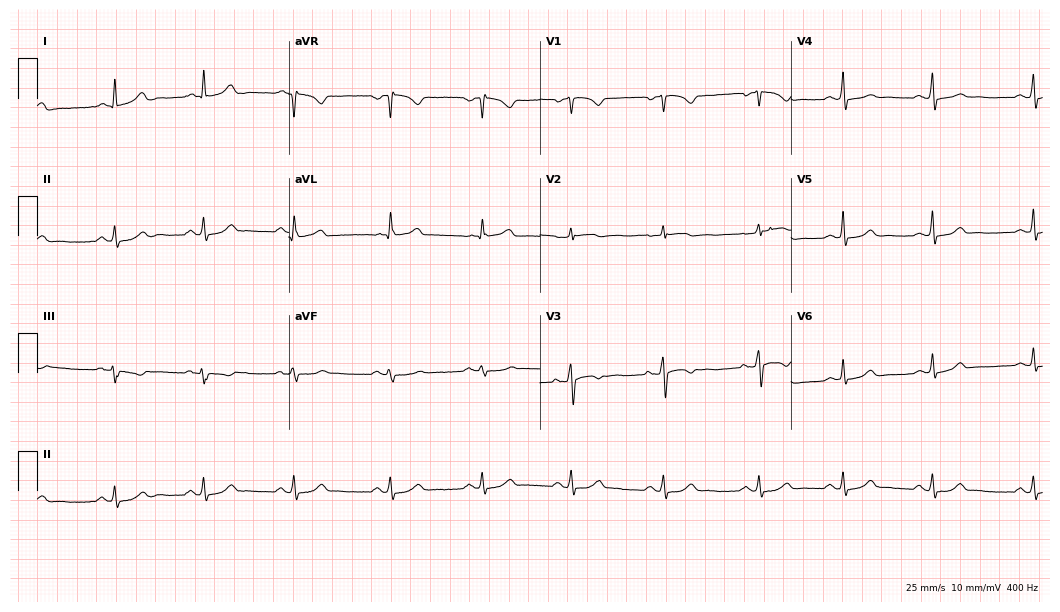
ECG — a 36-year-old female. Screened for six findings — first-degree AV block, right bundle branch block, left bundle branch block, sinus bradycardia, atrial fibrillation, sinus tachycardia — none is recorded. Findings outside these six are not listed.